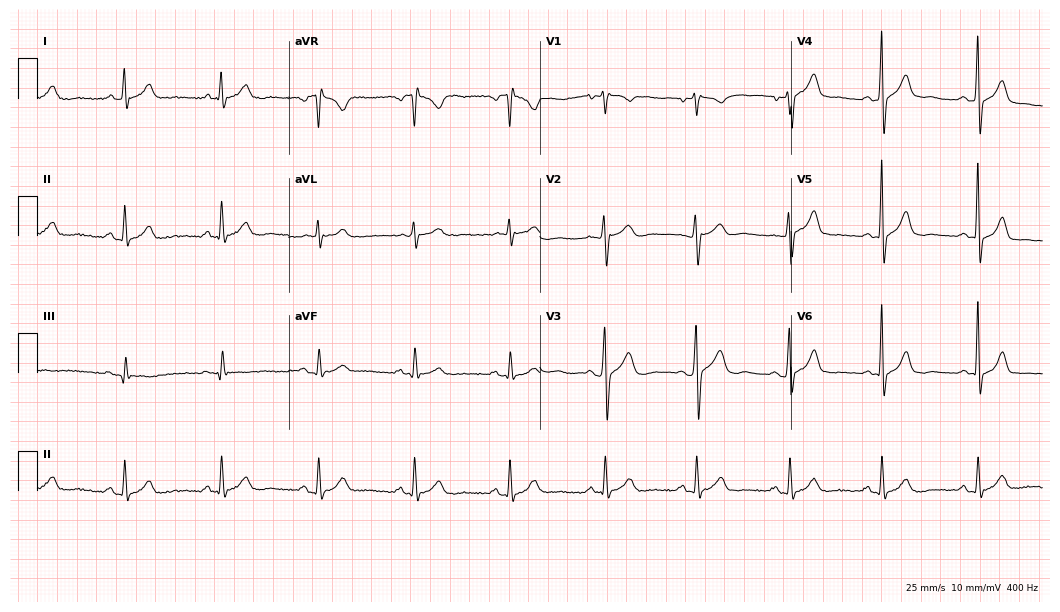
Electrocardiogram, a male, 25 years old. Overall reading on record: normal ECG.